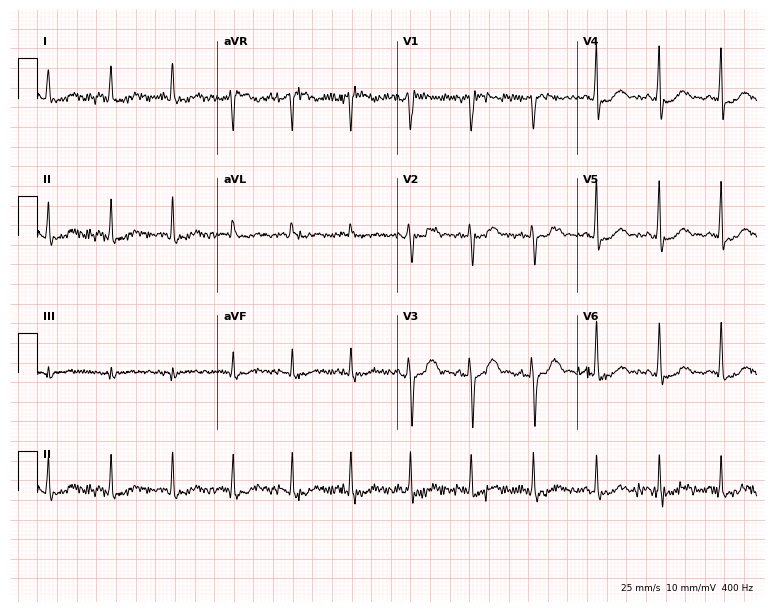
Standard 12-lead ECG recorded from a female patient, 54 years old (7.3-second recording at 400 Hz). None of these six findings is recorded: first-degree AV block, right bundle branch block (RBBB), left bundle branch block (LBBB), sinus bradycardia, atrial fibrillation (AF), sinus tachycardia.